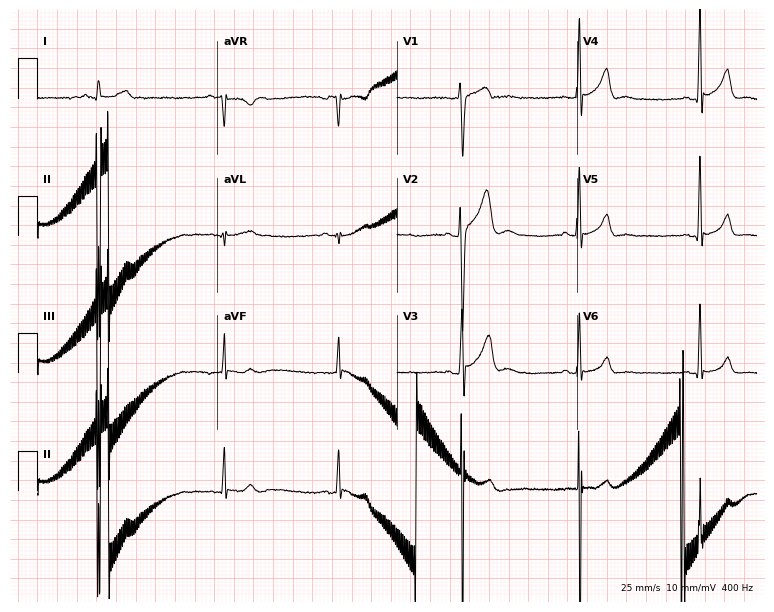
Standard 12-lead ECG recorded from a 29-year-old male (7.3-second recording at 400 Hz). The tracing shows sinus bradycardia (a sinus rate of 50 beats per minute or less).